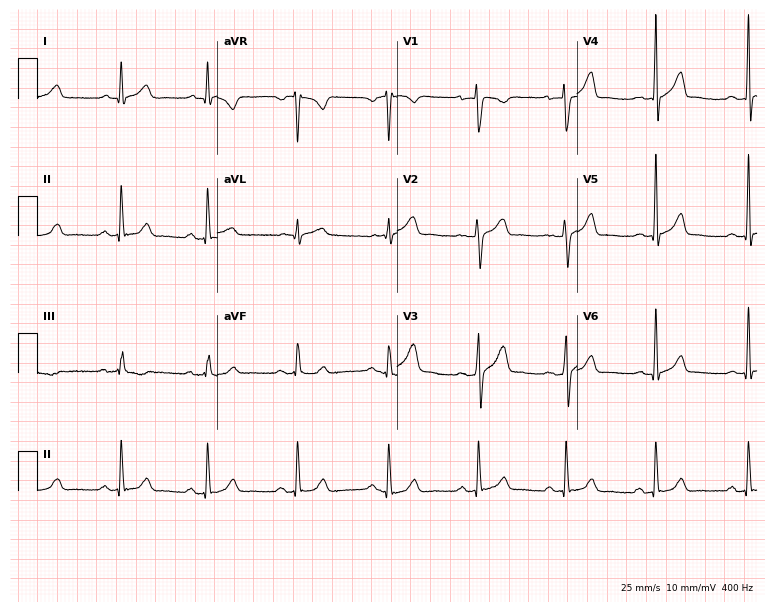
ECG (7.3-second recording at 400 Hz) — a male, 34 years old. Labelled as a normal ECG.